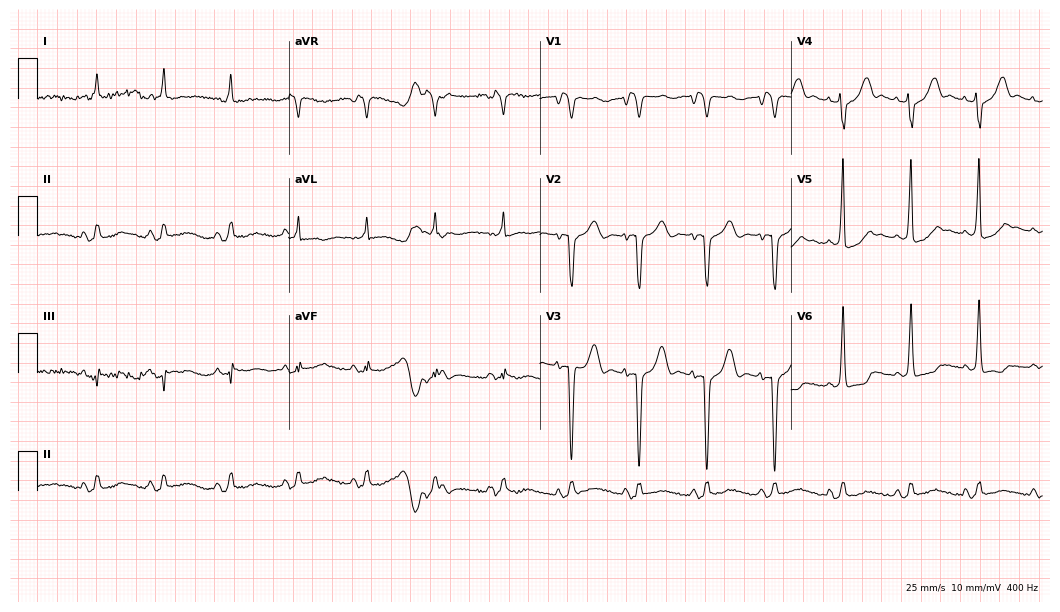
Resting 12-lead electrocardiogram (10.2-second recording at 400 Hz). Patient: a male, 57 years old. None of these six findings is recorded: first-degree AV block, right bundle branch block, left bundle branch block, sinus bradycardia, atrial fibrillation, sinus tachycardia.